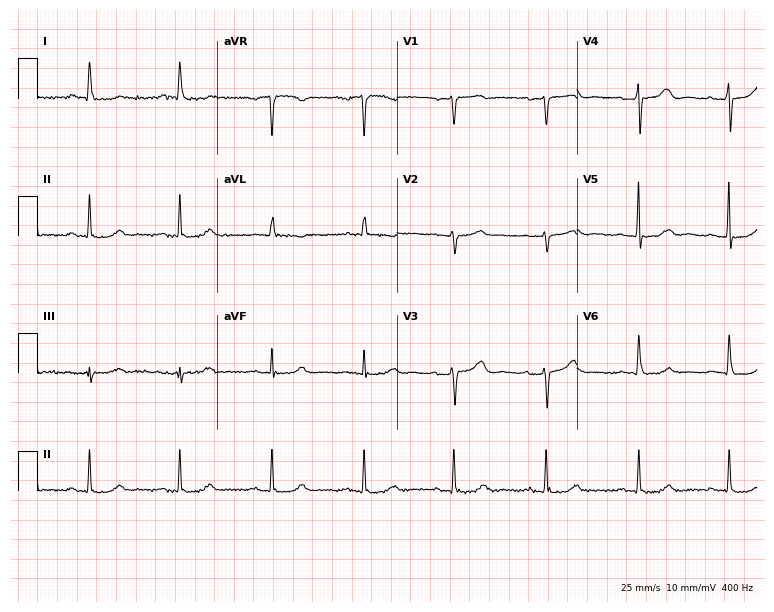
Resting 12-lead electrocardiogram. Patient: a female, 81 years old. Read as a normal ECG.